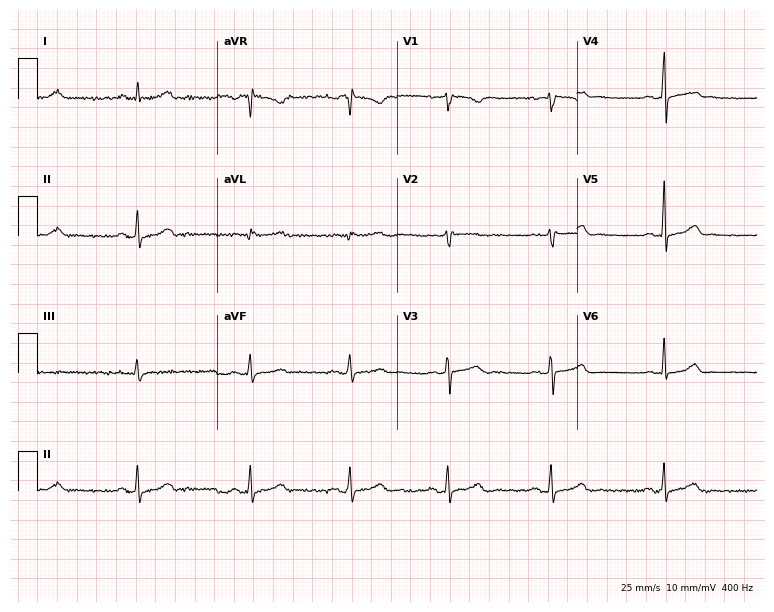
ECG (7.3-second recording at 400 Hz) — a female patient, 45 years old. Labelled as a normal ECG.